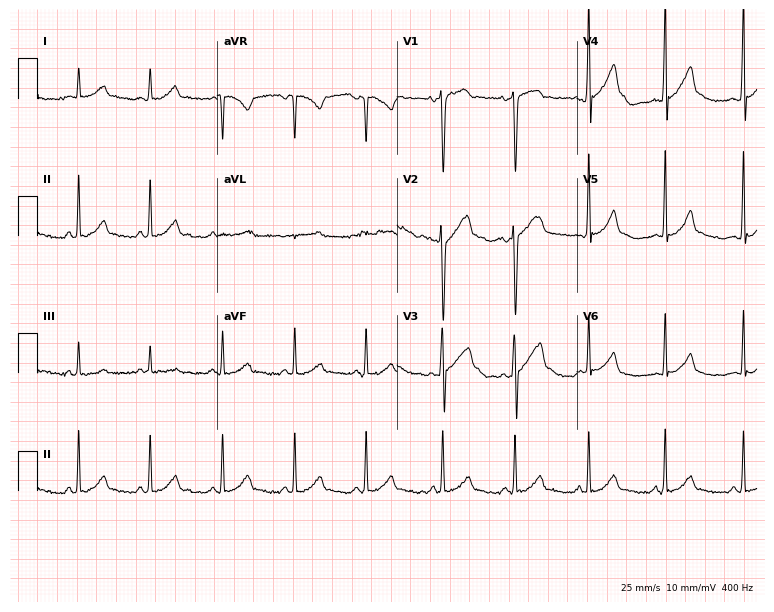
12-lead ECG from a 23-year-old male patient. No first-degree AV block, right bundle branch block, left bundle branch block, sinus bradycardia, atrial fibrillation or sinus tachycardia recorded for this tracing.